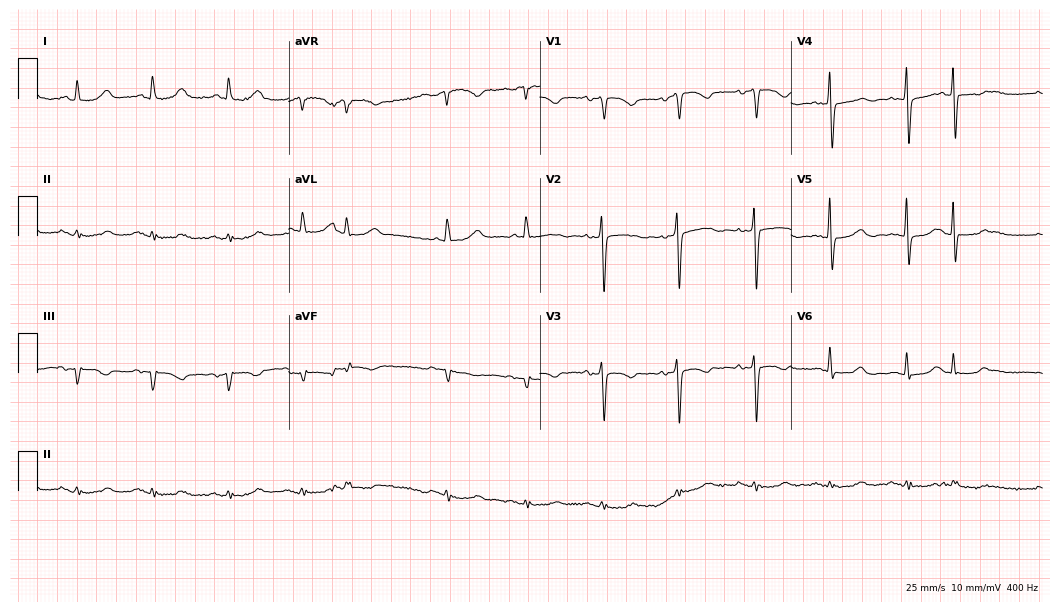
Standard 12-lead ECG recorded from a female patient, 79 years old (10.2-second recording at 400 Hz). Read as a normal ECG.